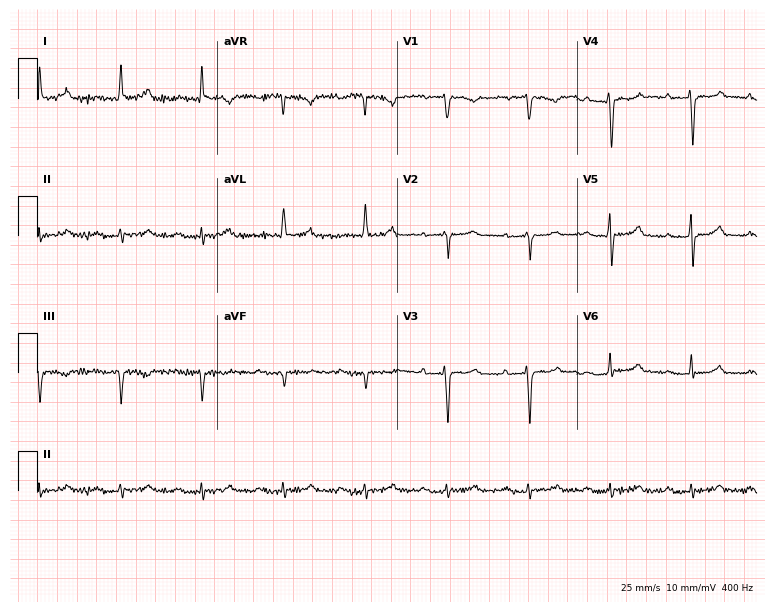
Resting 12-lead electrocardiogram. Patient: a woman, 80 years old. The tracing shows first-degree AV block.